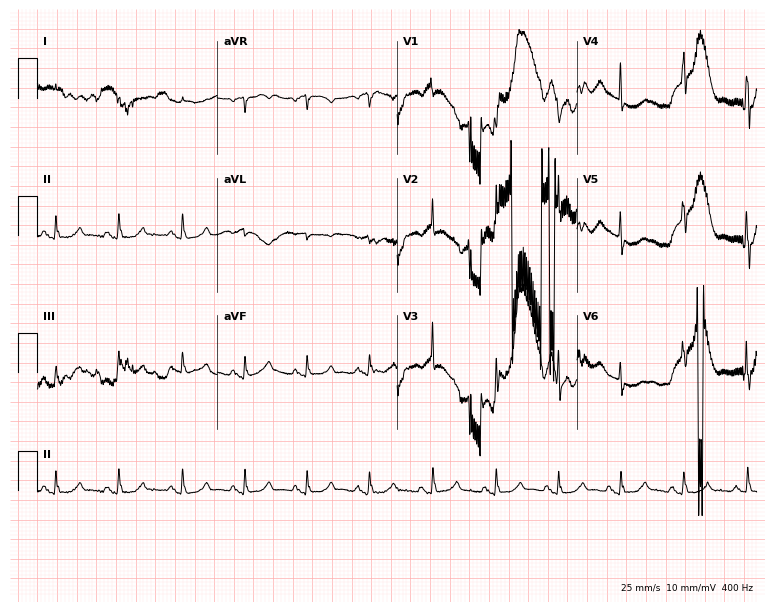
Resting 12-lead electrocardiogram. Patient: an 83-year-old male. None of these six findings is recorded: first-degree AV block, right bundle branch block, left bundle branch block, sinus bradycardia, atrial fibrillation, sinus tachycardia.